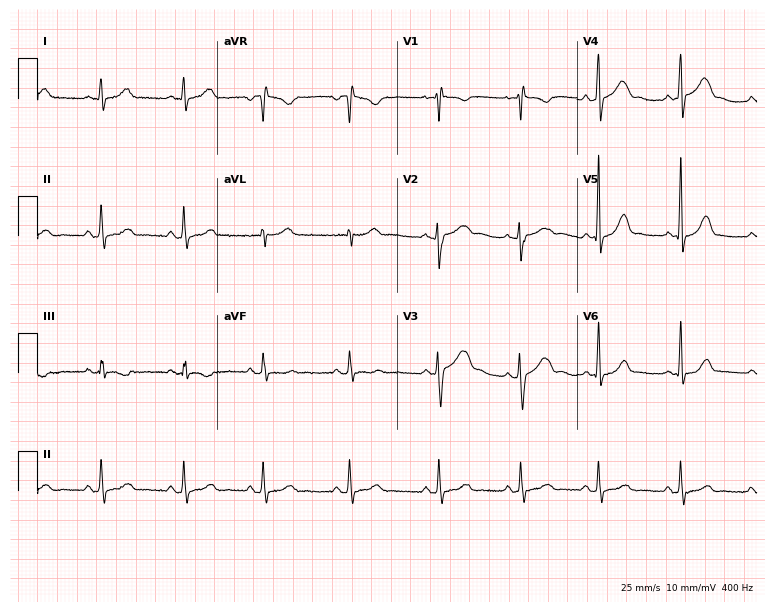
Standard 12-lead ECG recorded from a 20-year-old female patient. Read as a normal ECG.